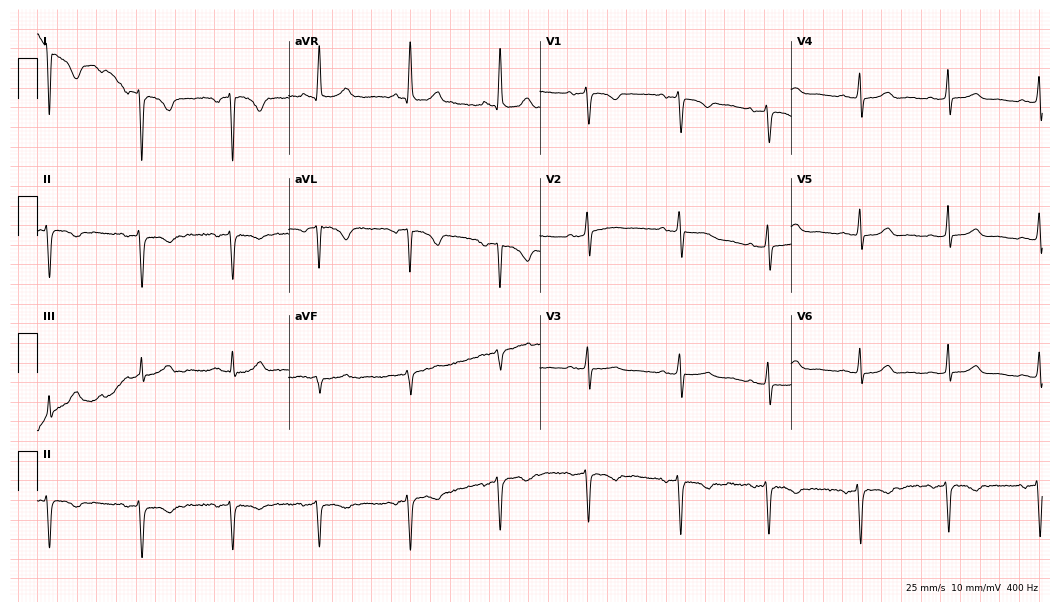
Standard 12-lead ECG recorded from a 73-year-old woman. None of these six findings is recorded: first-degree AV block, right bundle branch block (RBBB), left bundle branch block (LBBB), sinus bradycardia, atrial fibrillation (AF), sinus tachycardia.